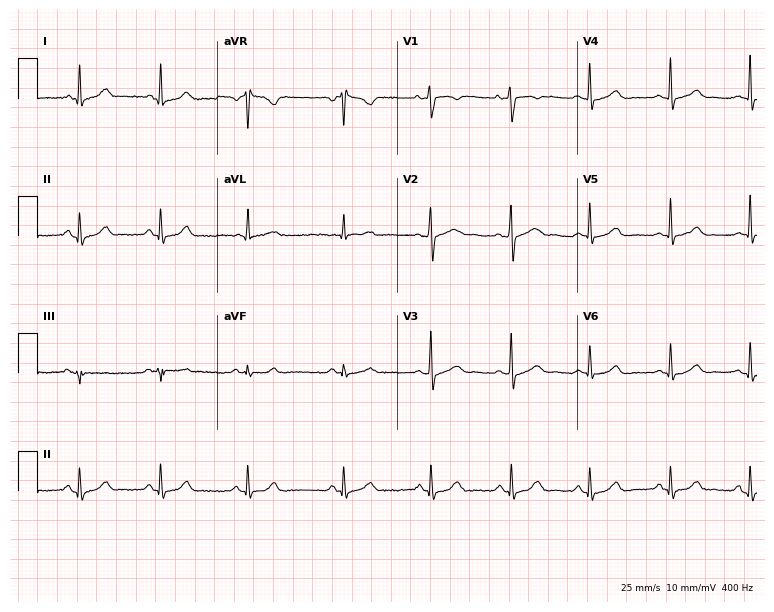
Resting 12-lead electrocardiogram (7.3-second recording at 400 Hz). Patient: a 27-year-old female. Read as a normal ECG.